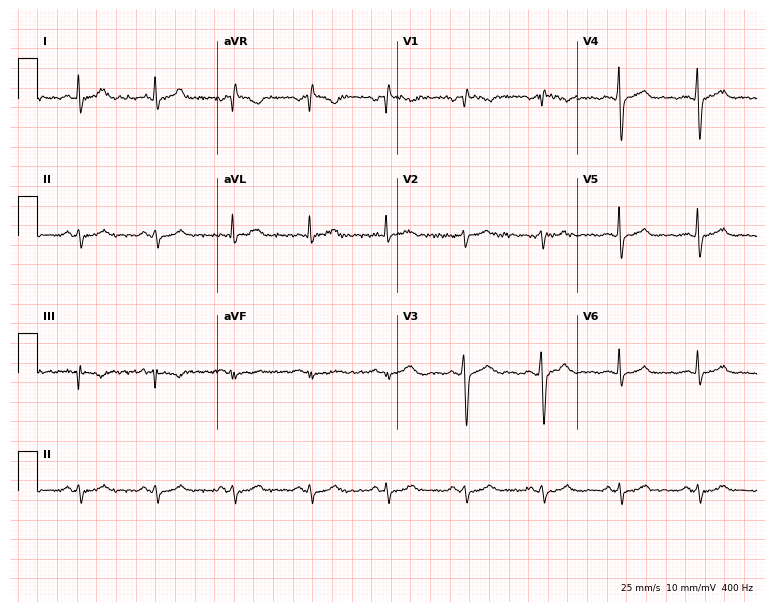
12-lead ECG from a man, 54 years old. Recorded interpretation: within normal limits.